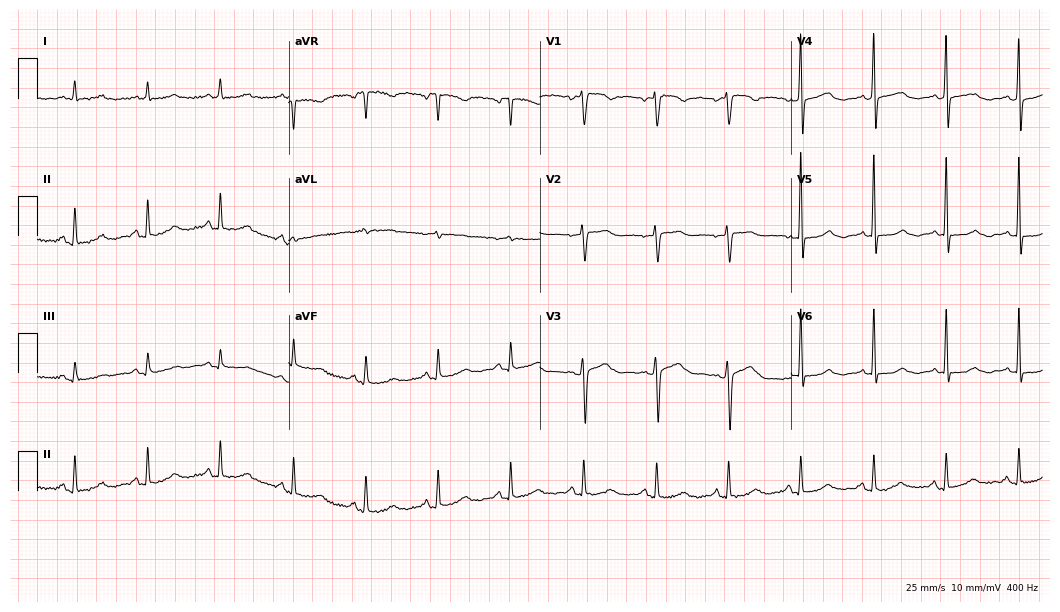
12-lead ECG from a 73-year-old female patient (10.2-second recording at 400 Hz). Recorded interpretation: within normal limits.